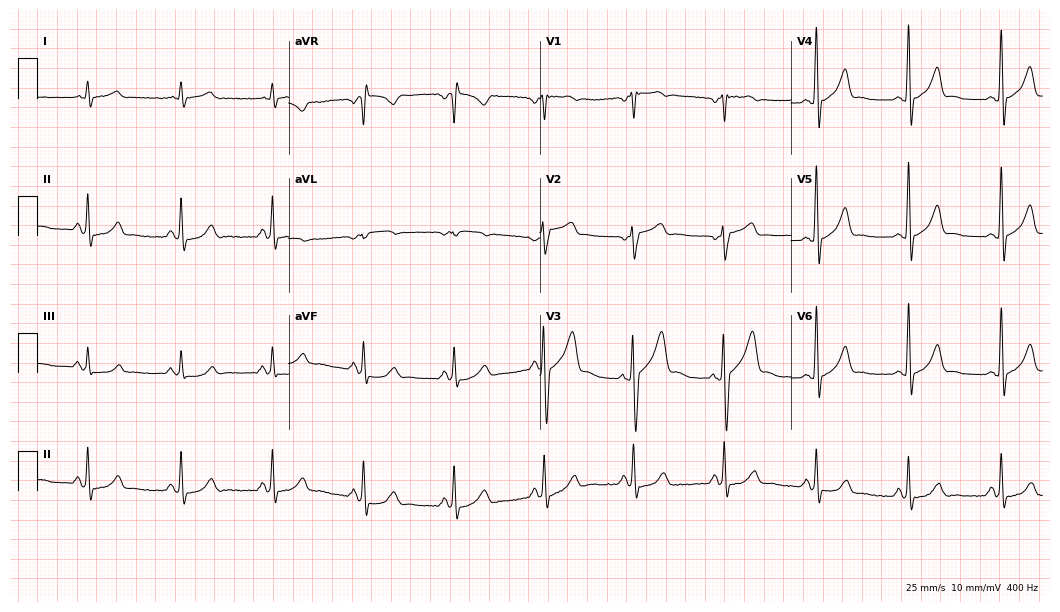
Standard 12-lead ECG recorded from a man, 51 years old (10.2-second recording at 400 Hz). Read as a normal ECG.